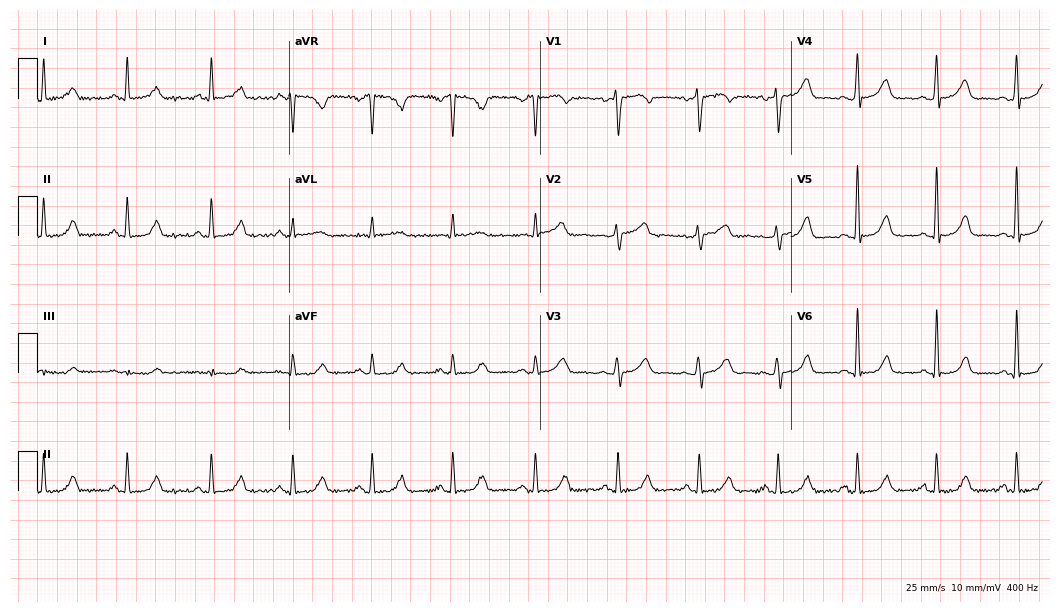
ECG — a female, 48 years old. Labelled as a normal ECG.